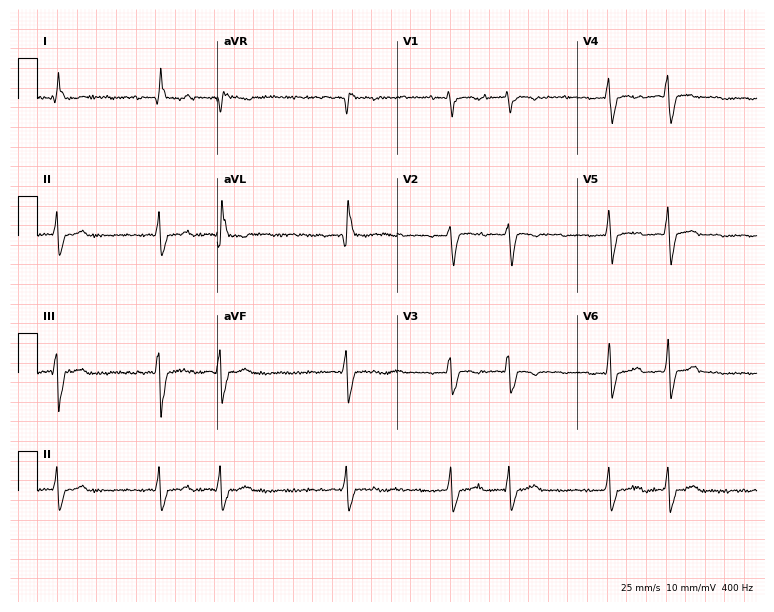
12-lead ECG from a 36-year-old female. Findings include atrial fibrillation.